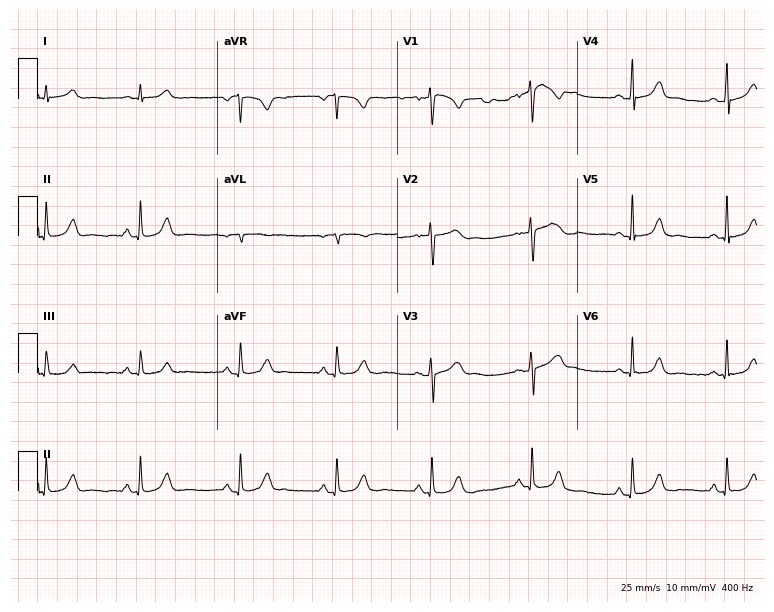
Standard 12-lead ECG recorded from a woman, 46 years old. None of these six findings is recorded: first-degree AV block, right bundle branch block, left bundle branch block, sinus bradycardia, atrial fibrillation, sinus tachycardia.